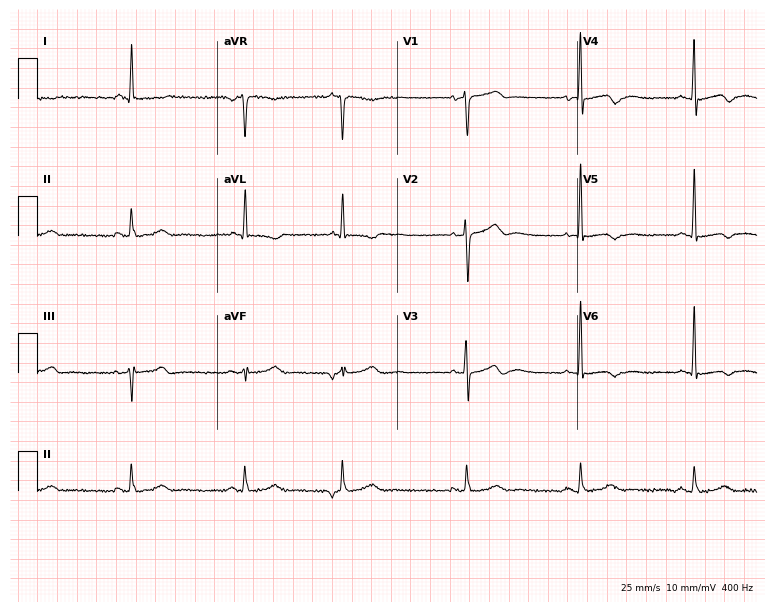
Electrocardiogram, a female patient, 80 years old. Of the six screened findings (first-degree AV block, right bundle branch block, left bundle branch block, sinus bradycardia, atrial fibrillation, sinus tachycardia), none is recorded. Only these six findings were labelled.